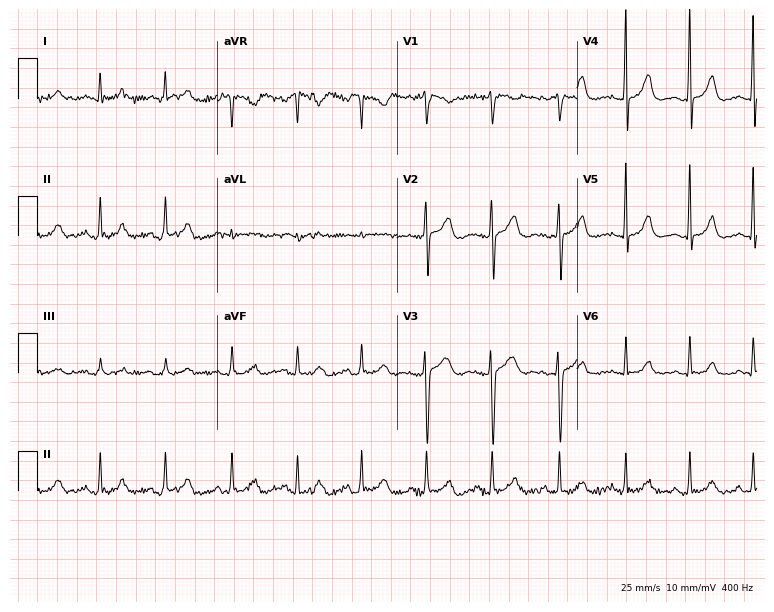
12-lead ECG from a 21-year-old woman. Recorded interpretation: within normal limits.